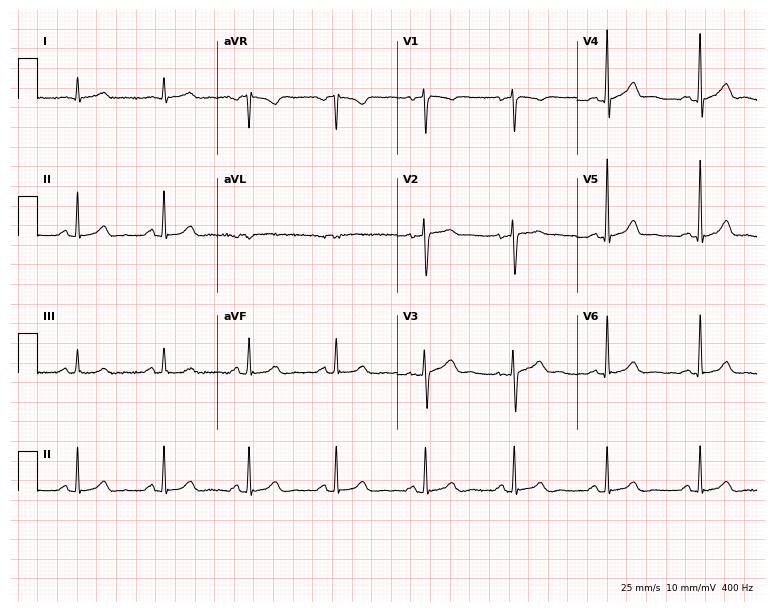
12-lead ECG from a 63-year-old female (7.3-second recording at 400 Hz). Recorded interpretation: within normal limits.